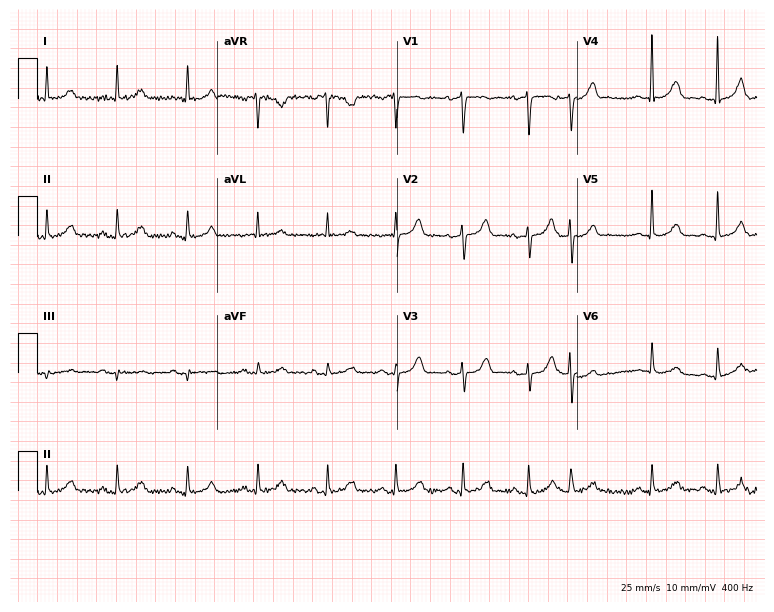
Standard 12-lead ECG recorded from a 77-year-old woman (7.3-second recording at 400 Hz). Read as a normal ECG.